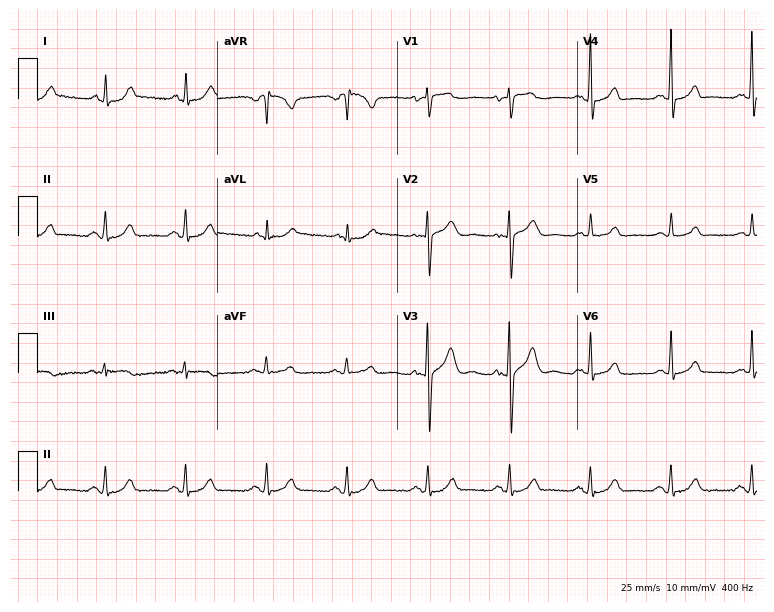
ECG — a woman, 83 years old. Screened for six findings — first-degree AV block, right bundle branch block, left bundle branch block, sinus bradycardia, atrial fibrillation, sinus tachycardia — none is recorded.